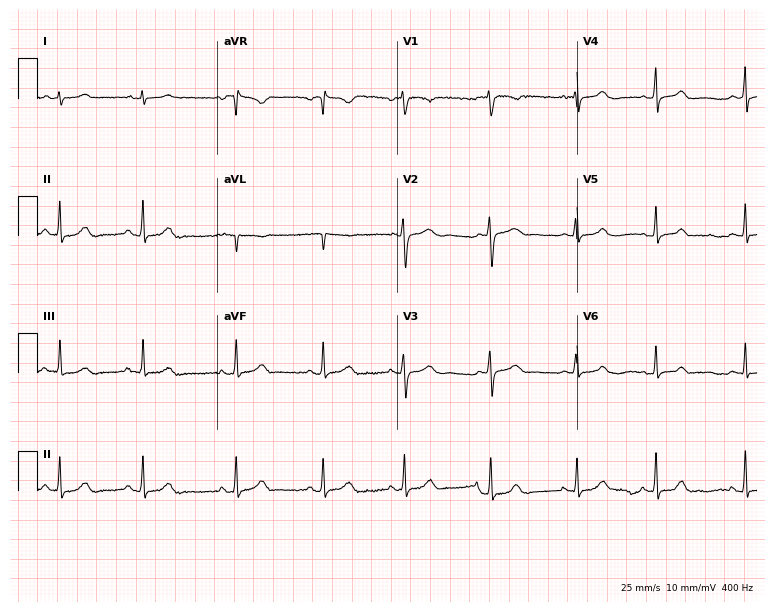
Resting 12-lead electrocardiogram (7.3-second recording at 400 Hz). Patient: a female, 20 years old. Read as a normal ECG.